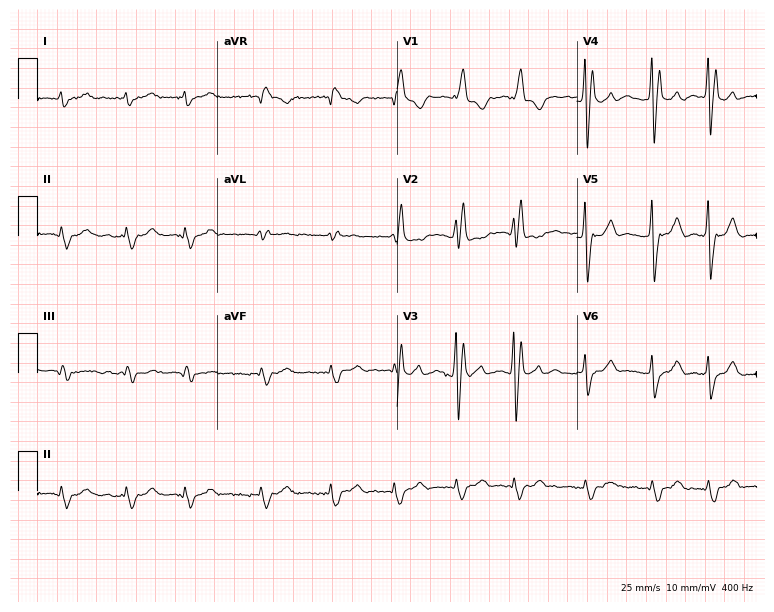
Resting 12-lead electrocardiogram. Patient: a man, 72 years old. The tracing shows right bundle branch block, atrial fibrillation.